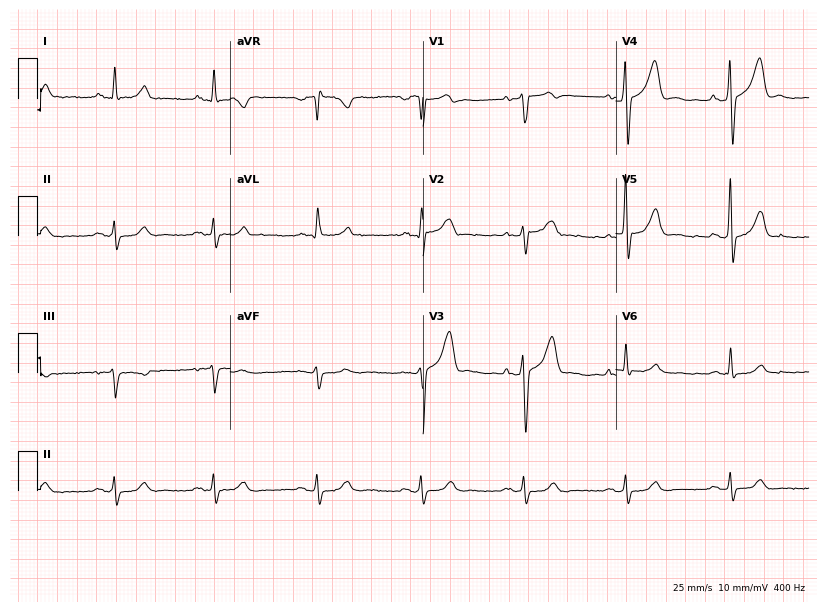
12-lead ECG (7.9-second recording at 400 Hz) from a 65-year-old male. Screened for six findings — first-degree AV block, right bundle branch block, left bundle branch block, sinus bradycardia, atrial fibrillation, sinus tachycardia — none is recorded. Only these six findings were labelled.